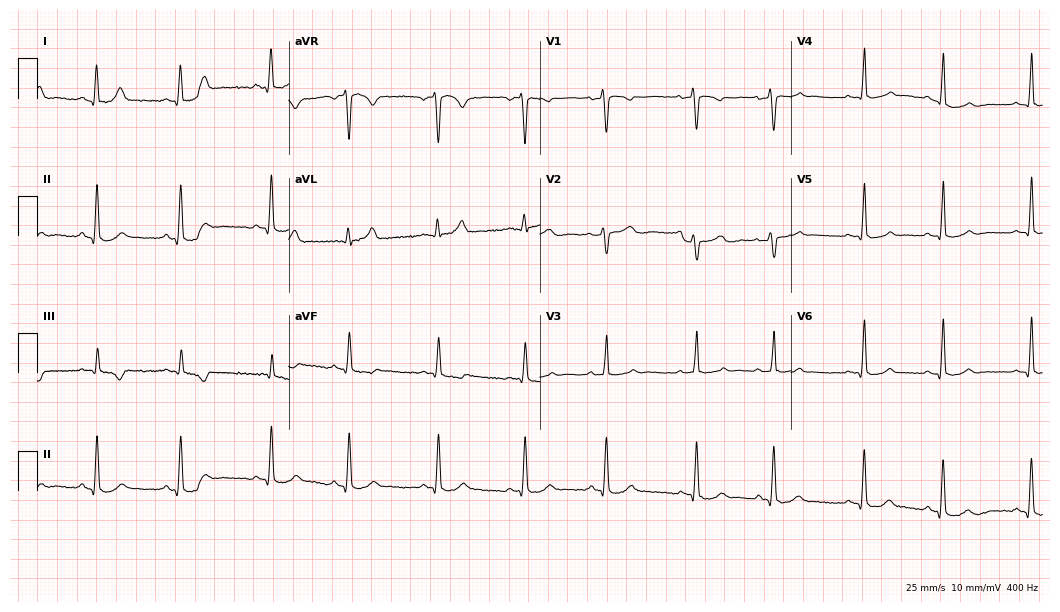
ECG — a 23-year-old woman. Labelled as a normal ECG.